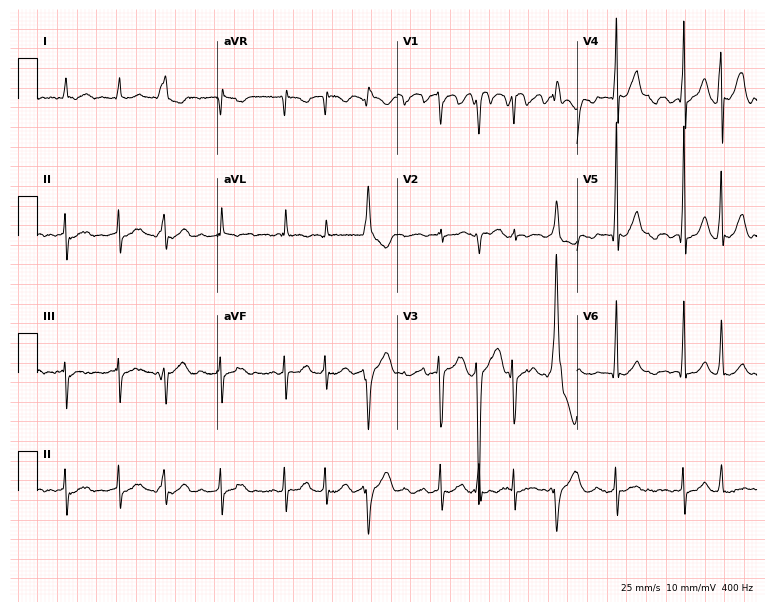
Resting 12-lead electrocardiogram (7.3-second recording at 400 Hz). Patient: a male, 73 years old. The tracing shows atrial fibrillation (AF).